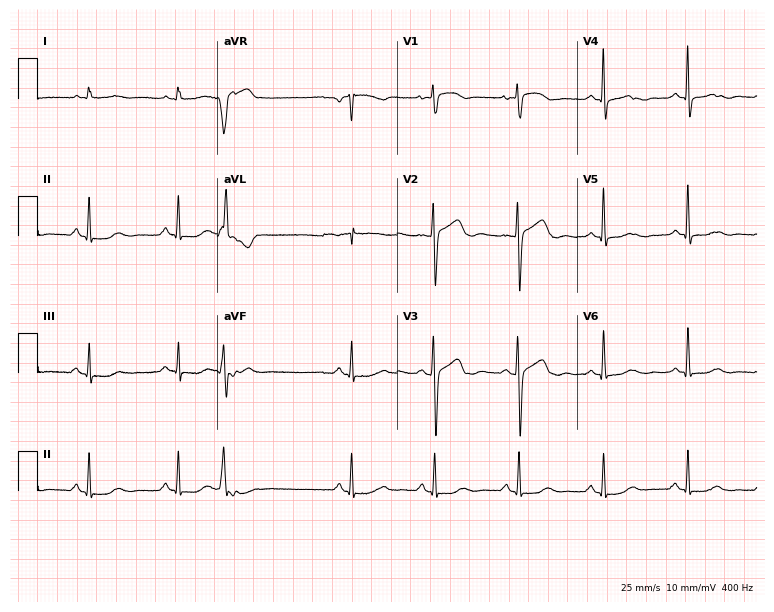
ECG — a 73-year-old woman. Screened for six findings — first-degree AV block, right bundle branch block, left bundle branch block, sinus bradycardia, atrial fibrillation, sinus tachycardia — none is recorded.